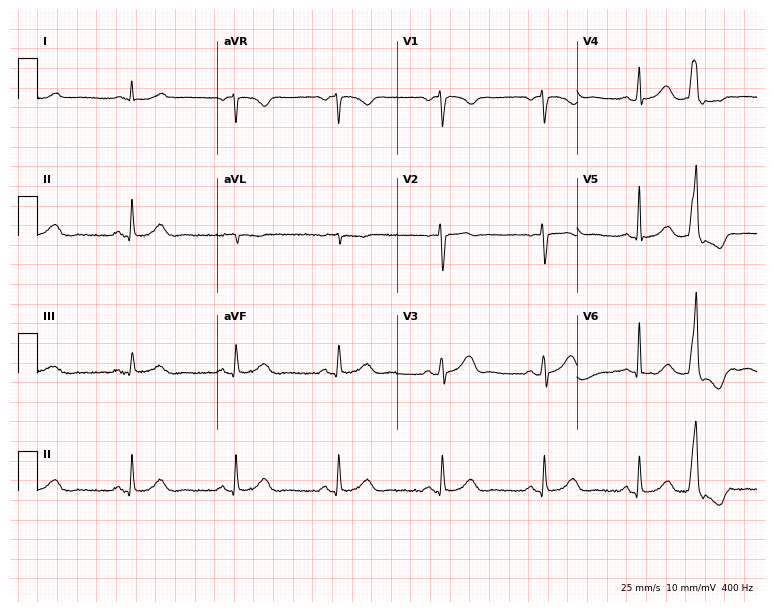
Electrocardiogram, a 51-year-old male patient. Overall reading on record: normal ECG.